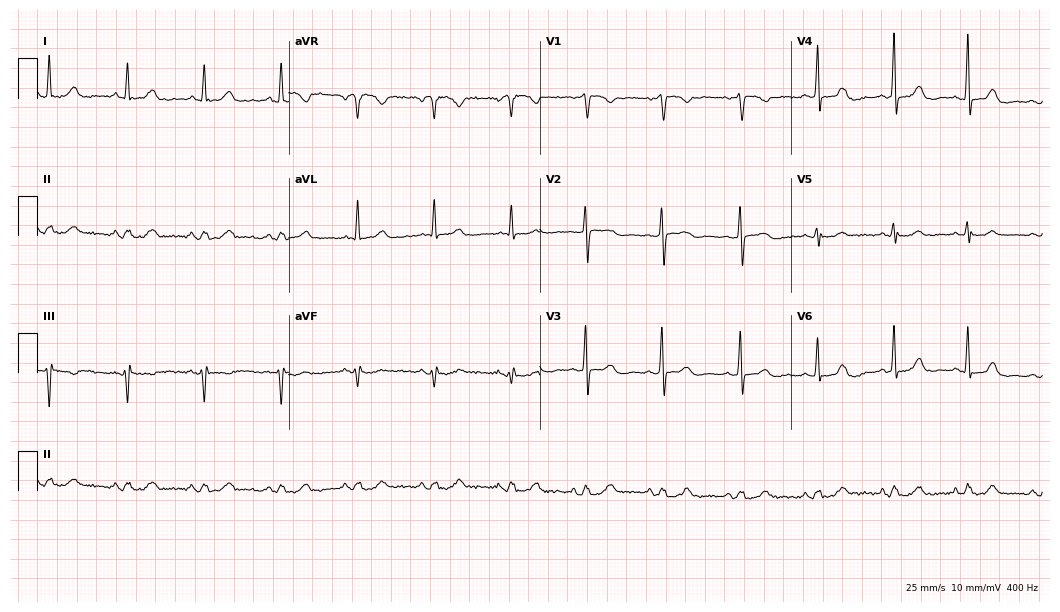
Resting 12-lead electrocardiogram (10.2-second recording at 400 Hz). Patient: a female, 72 years old. Read as a normal ECG.